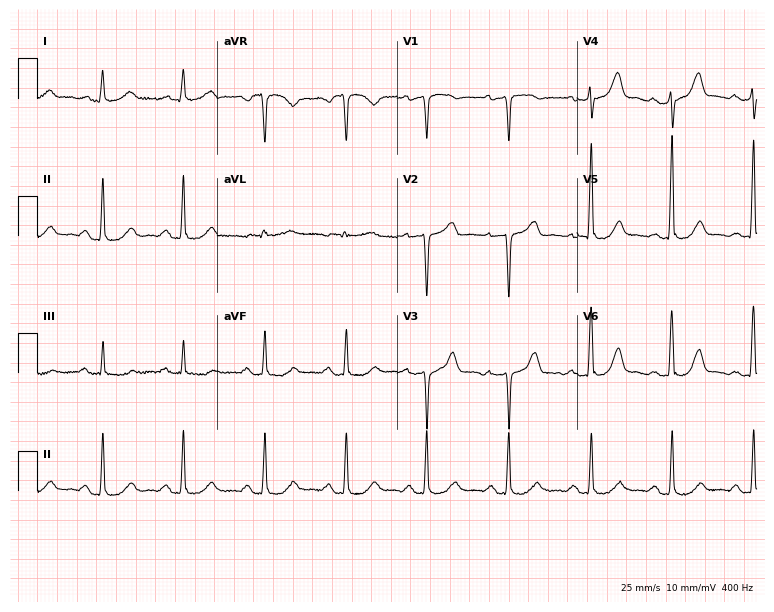
ECG (7.3-second recording at 400 Hz) — a female, 66 years old. Screened for six findings — first-degree AV block, right bundle branch block, left bundle branch block, sinus bradycardia, atrial fibrillation, sinus tachycardia — none is recorded.